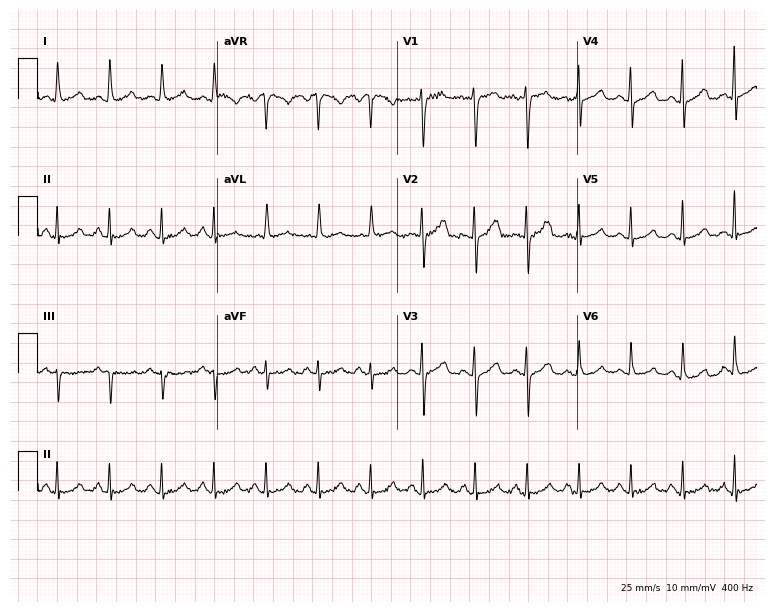
Resting 12-lead electrocardiogram (7.3-second recording at 400 Hz). Patient: a male, 51 years old. The tracing shows sinus tachycardia (a sinus rate of 100 beats per minute or more).